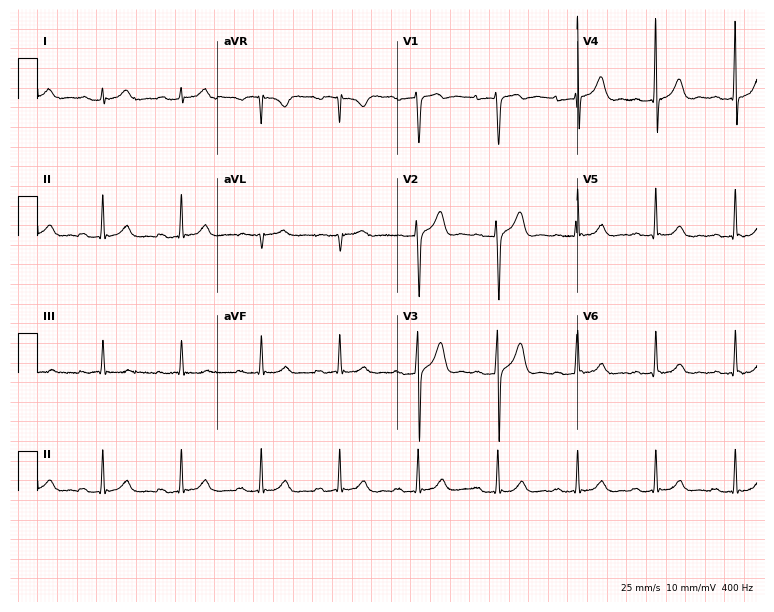
12-lead ECG from a man, 33 years old (7.3-second recording at 400 Hz). No first-degree AV block, right bundle branch block, left bundle branch block, sinus bradycardia, atrial fibrillation or sinus tachycardia recorded for this tracing.